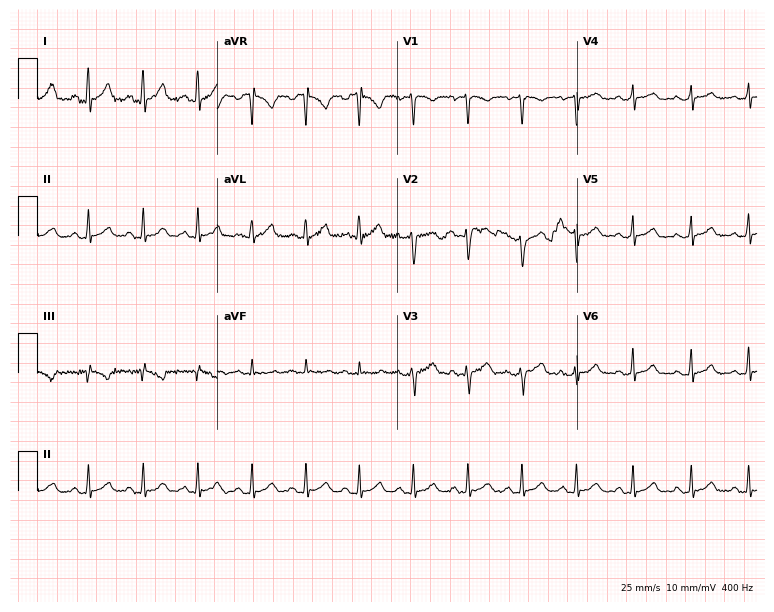
Standard 12-lead ECG recorded from a 27-year-old female (7.3-second recording at 400 Hz). None of these six findings is recorded: first-degree AV block, right bundle branch block, left bundle branch block, sinus bradycardia, atrial fibrillation, sinus tachycardia.